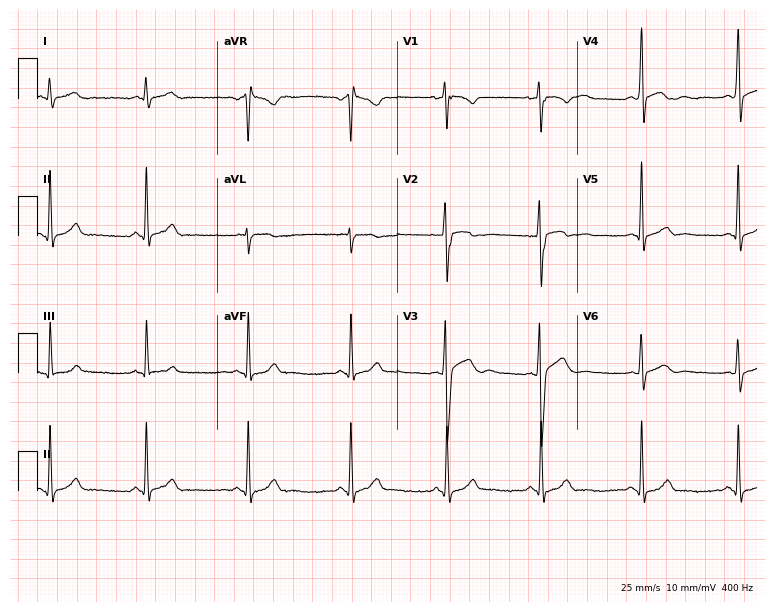
Electrocardiogram, a 19-year-old man. Of the six screened findings (first-degree AV block, right bundle branch block (RBBB), left bundle branch block (LBBB), sinus bradycardia, atrial fibrillation (AF), sinus tachycardia), none is recorded. Only these six findings were labelled.